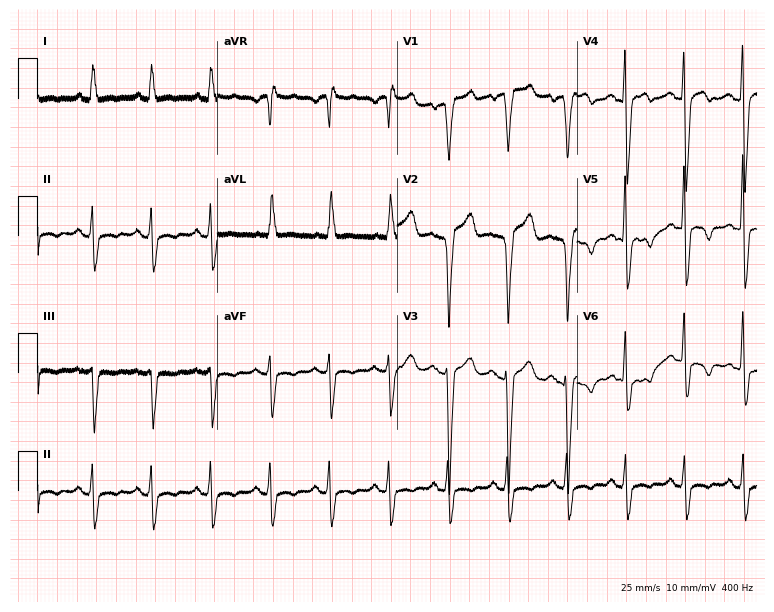
Electrocardiogram (7.3-second recording at 400 Hz), an 81-year-old man. Of the six screened findings (first-degree AV block, right bundle branch block, left bundle branch block, sinus bradycardia, atrial fibrillation, sinus tachycardia), none is recorded.